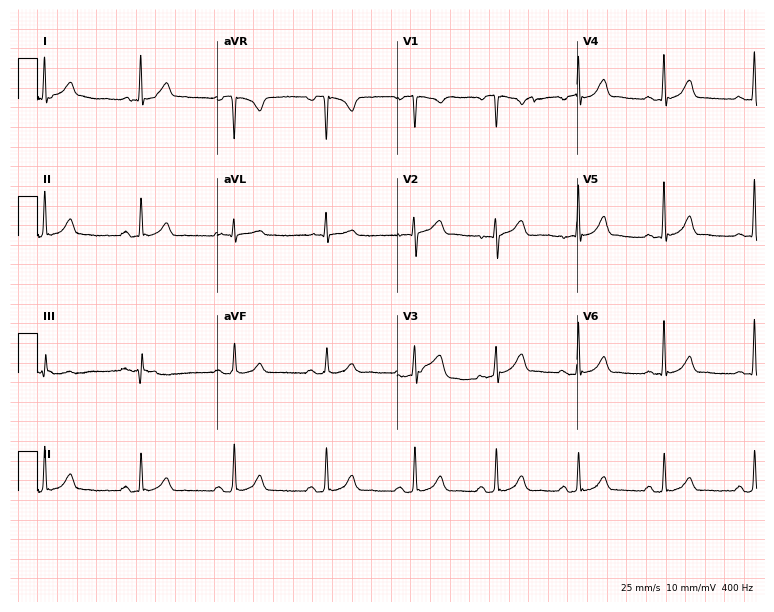
Standard 12-lead ECG recorded from a male patient, 59 years old. Read as a normal ECG.